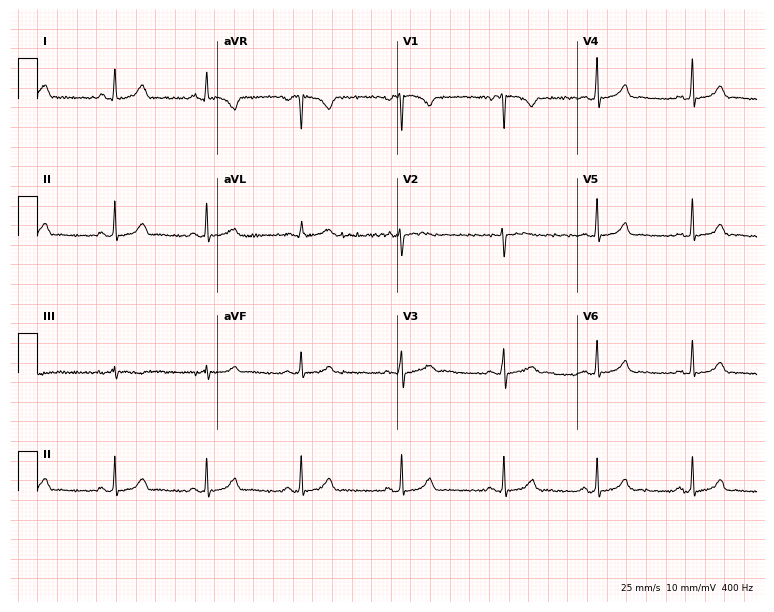
Electrocardiogram (7.3-second recording at 400 Hz), a 27-year-old female patient. Of the six screened findings (first-degree AV block, right bundle branch block, left bundle branch block, sinus bradycardia, atrial fibrillation, sinus tachycardia), none is recorded. Findings outside these six are not listed.